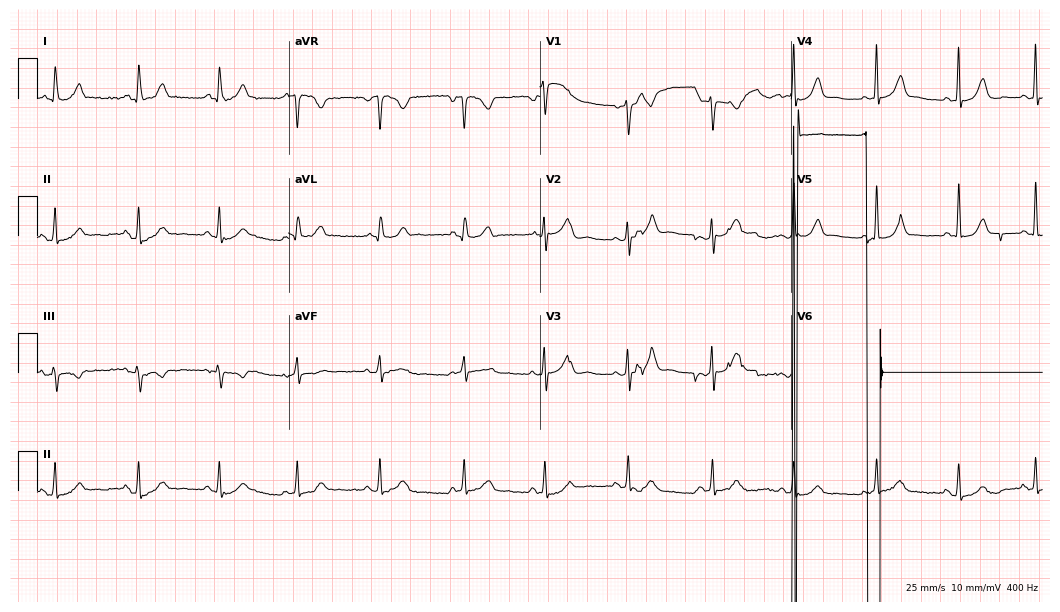
ECG — a 40-year-old woman. Screened for six findings — first-degree AV block, right bundle branch block (RBBB), left bundle branch block (LBBB), sinus bradycardia, atrial fibrillation (AF), sinus tachycardia — none is recorded.